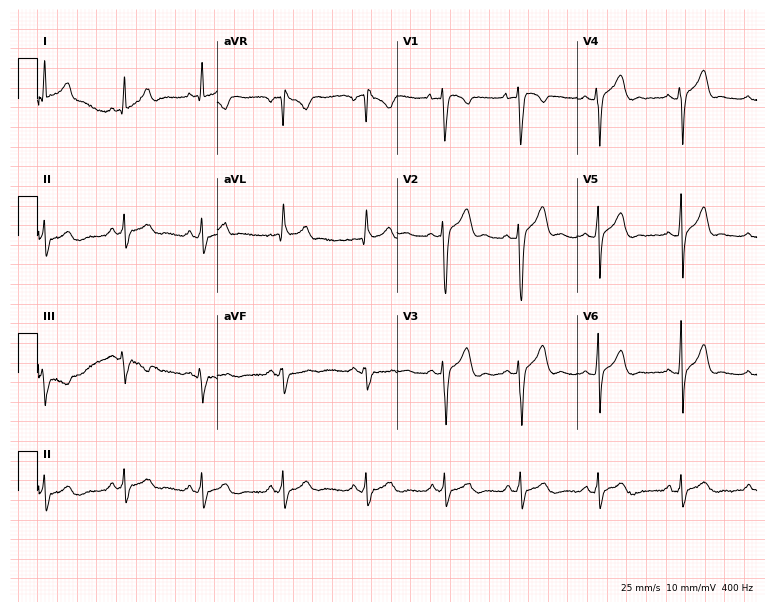
12-lead ECG from a 29-year-old male patient (7.3-second recording at 400 Hz). No first-degree AV block, right bundle branch block (RBBB), left bundle branch block (LBBB), sinus bradycardia, atrial fibrillation (AF) or sinus tachycardia recorded for this tracing.